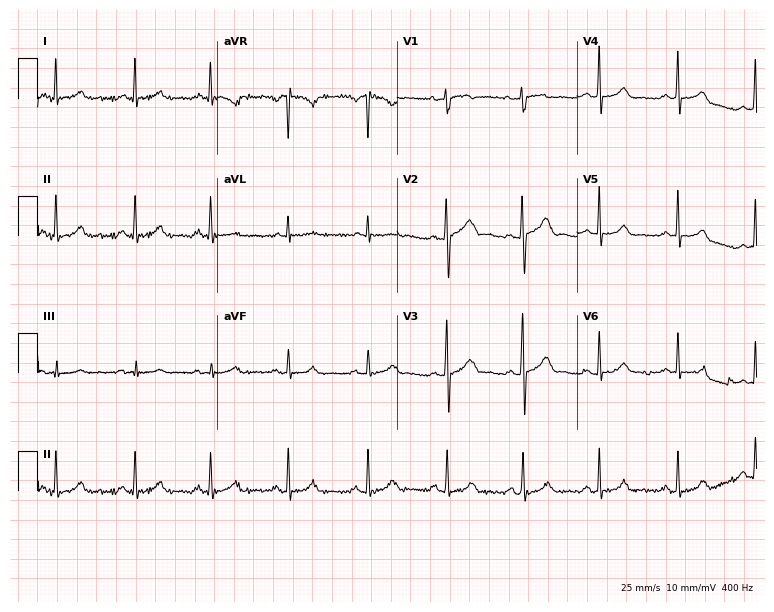
Electrocardiogram, a 23-year-old female. Of the six screened findings (first-degree AV block, right bundle branch block, left bundle branch block, sinus bradycardia, atrial fibrillation, sinus tachycardia), none is recorded.